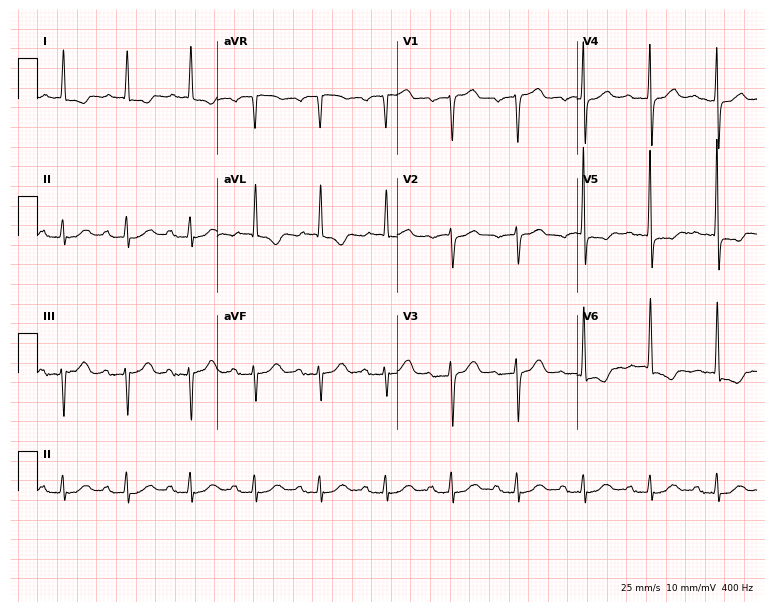
12-lead ECG from a female, 81 years old. Screened for six findings — first-degree AV block, right bundle branch block (RBBB), left bundle branch block (LBBB), sinus bradycardia, atrial fibrillation (AF), sinus tachycardia — none is recorded.